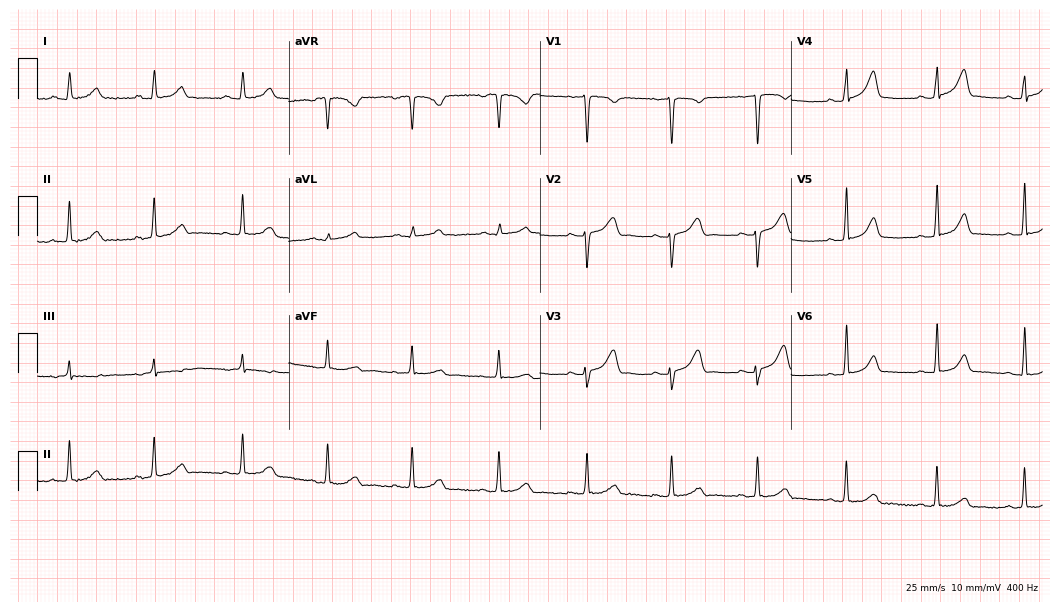
12-lead ECG from a female patient, 29 years old. Labelled as a normal ECG.